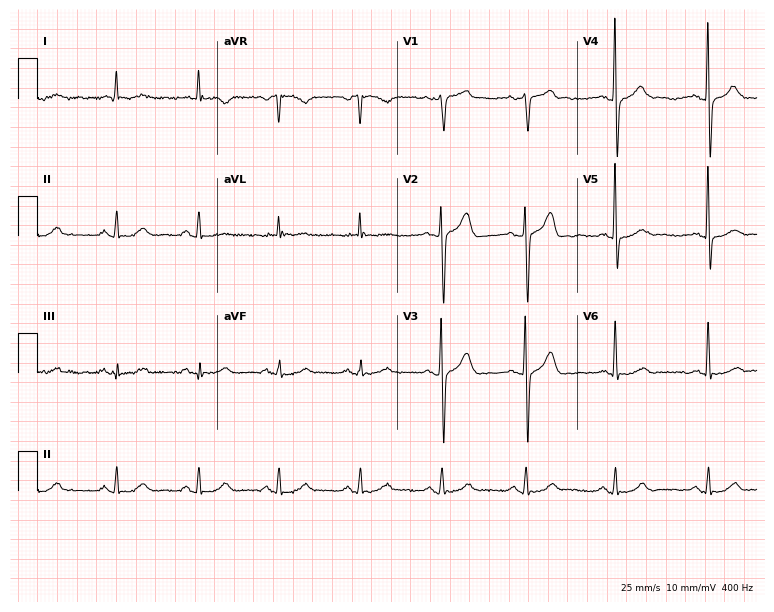
Electrocardiogram, a 60-year-old male patient. Overall reading on record: normal ECG.